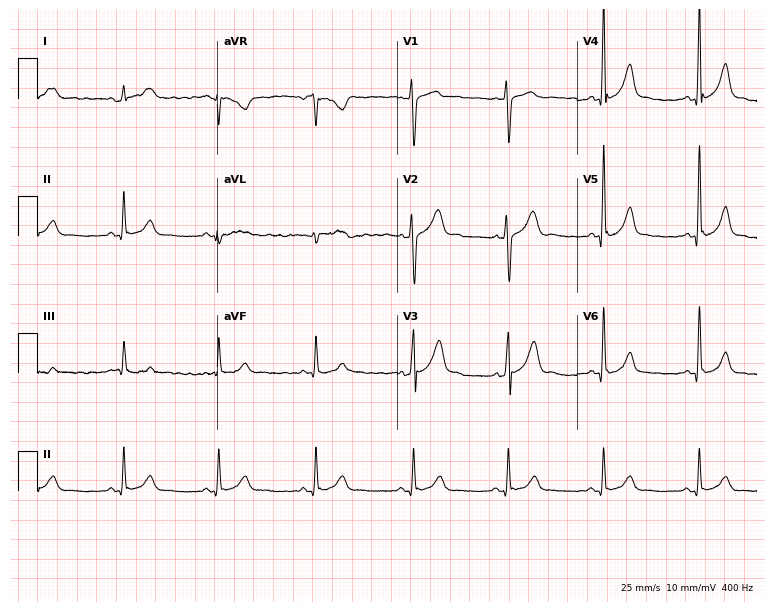
ECG — a male, 28 years old. Screened for six findings — first-degree AV block, right bundle branch block, left bundle branch block, sinus bradycardia, atrial fibrillation, sinus tachycardia — none is recorded. Findings outside these six are not listed.